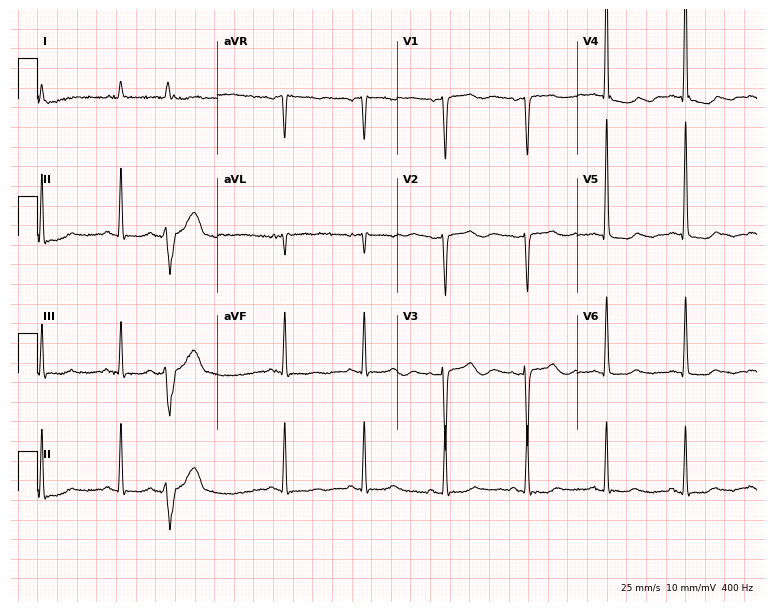
12-lead ECG from a 76-year-old female patient. No first-degree AV block, right bundle branch block (RBBB), left bundle branch block (LBBB), sinus bradycardia, atrial fibrillation (AF) or sinus tachycardia recorded for this tracing.